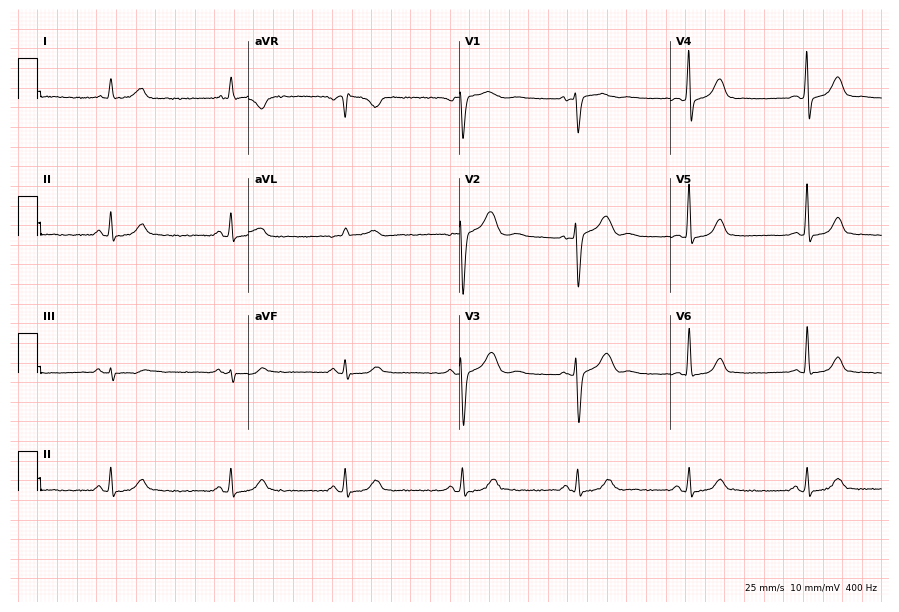
Electrocardiogram (8.6-second recording at 400 Hz), a 45-year-old woman. Of the six screened findings (first-degree AV block, right bundle branch block (RBBB), left bundle branch block (LBBB), sinus bradycardia, atrial fibrillation (AF), sinus tachycardia), none is recorded.